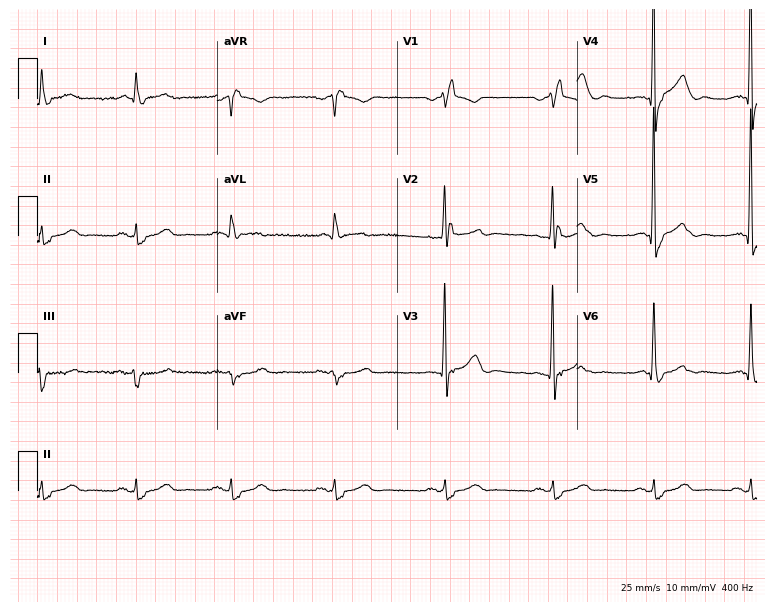
Resting 12-lead electrocardiogram. Patient: a man, 71 years old. The tracing shows right bundle branch block.